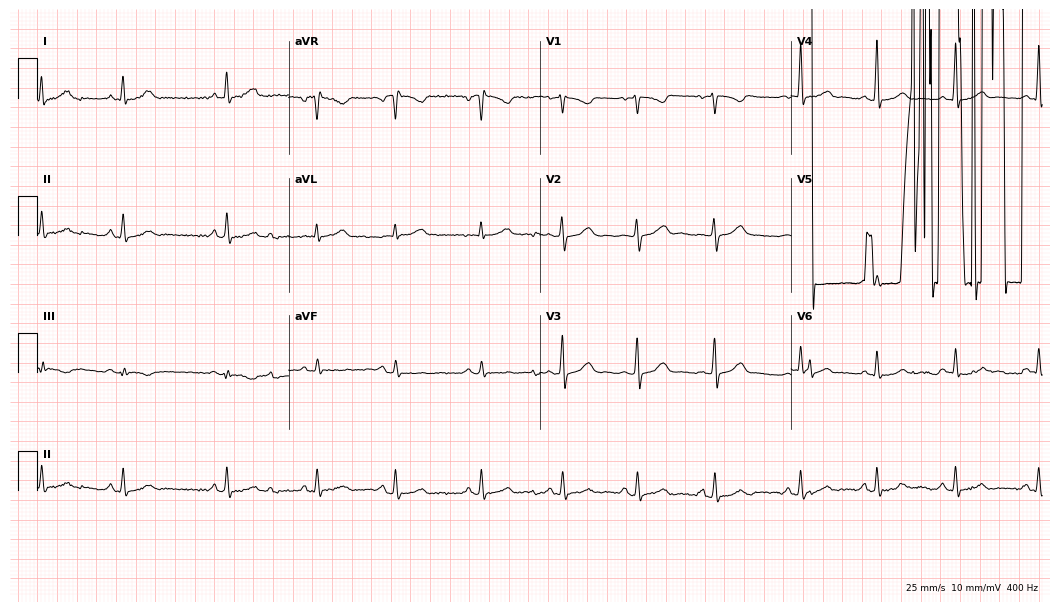
12-lead ECG (10.2-second recording at 400 Hz) from a 34-year-old female. Screened for six findings — first-degree AV block, right bundle branch block (RBBB), left bundle branch block (LBBB), sinus bradycardia, atrial fibrillation (AF), sinus tachycardia — none is recorded.